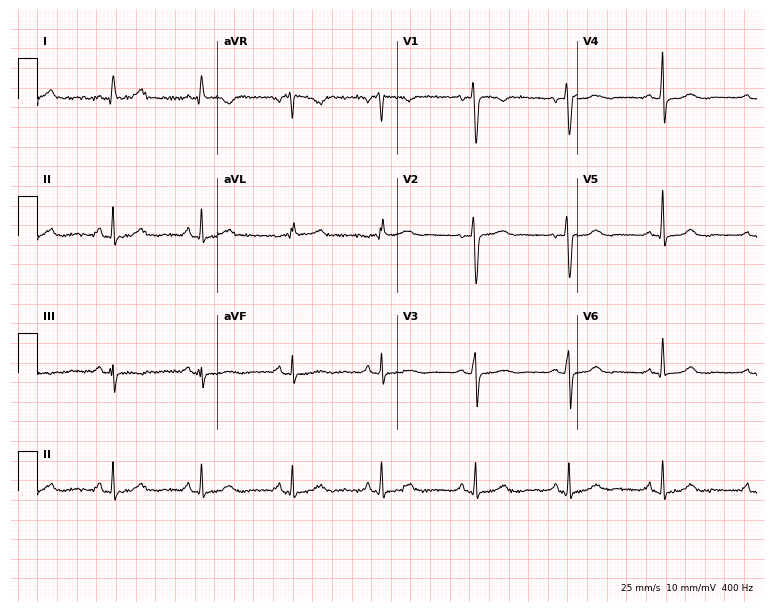
ECG — a 36-year-old female patient. Screened for six findings — first-degree AV block, right bundle branch block, left bundle branch block, sinus bradycardia, atrial fibrillation, sinus tachycardia — none is recorded.